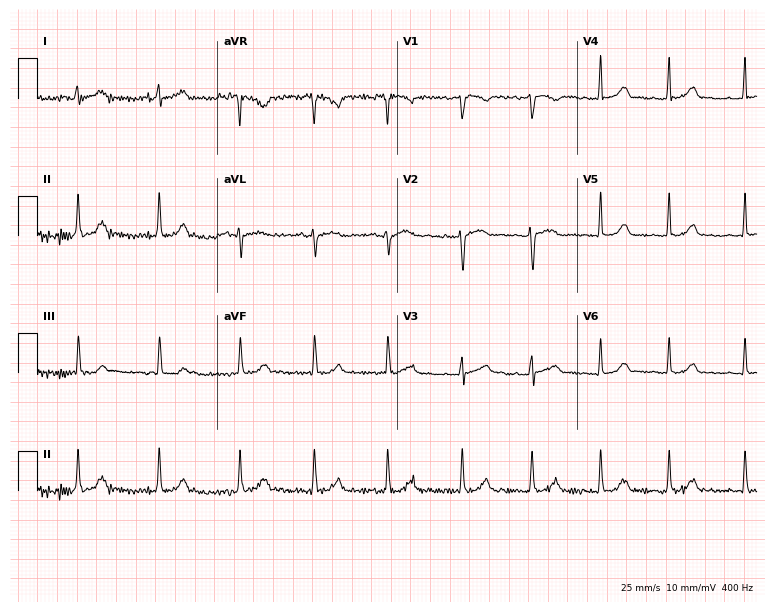
12-lead ECG from a 32-year-old woman (7.3-second recording at 400 Hz). Recorded interpretation: within normal limits.